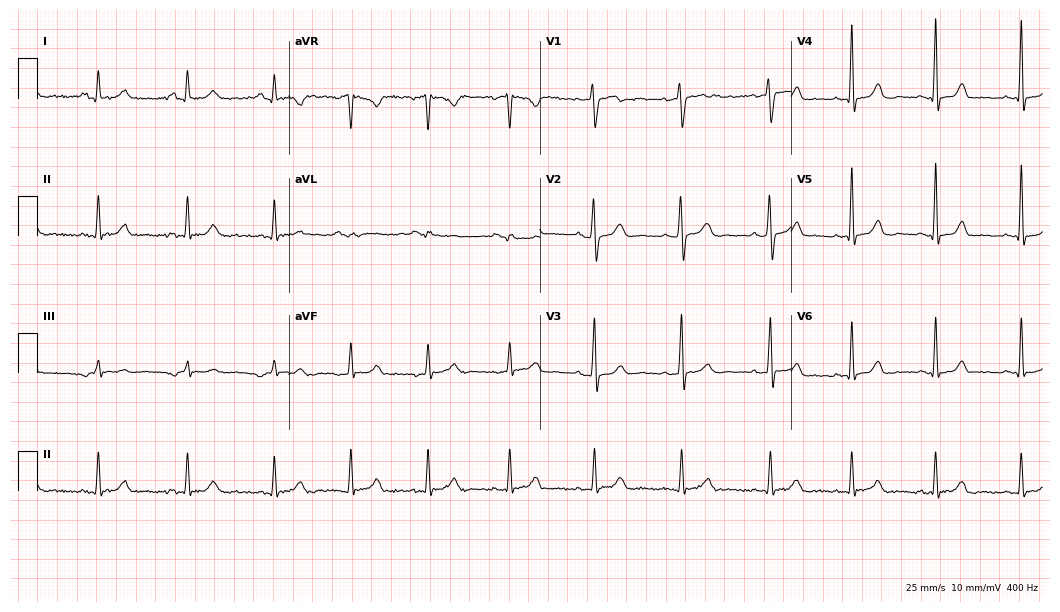
Electrocardiogram, a 38-year-old female patient. Of the six screened findings (first-degree AV block, right bundle branch block, left bundle branch block, sinus bradycardia, atrial fibrillation, sinus tachycardia), none is recorded.